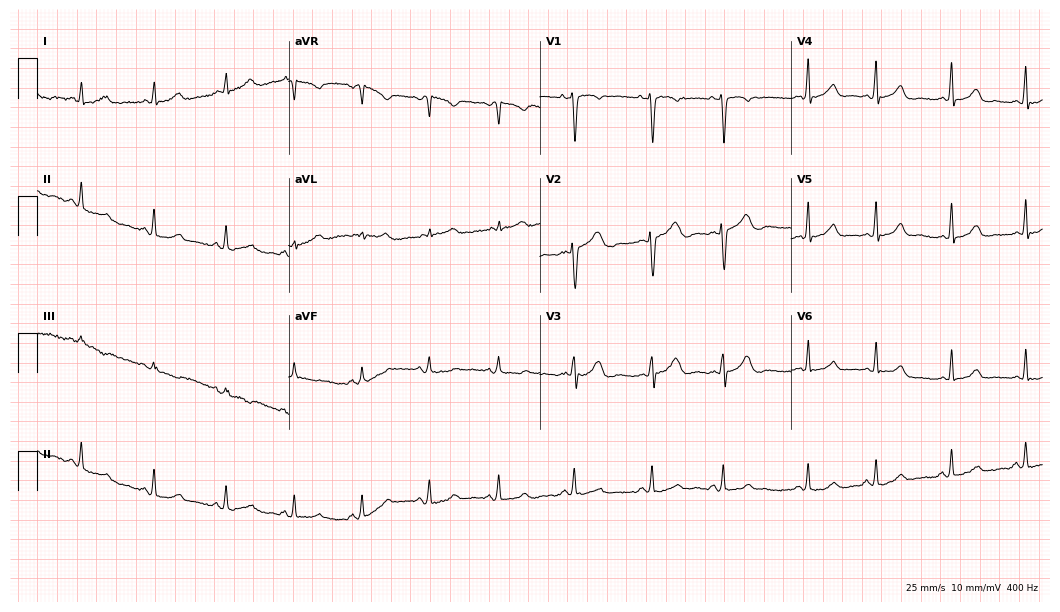
ECG (10.2-second recording at 400 Hz) — a female, 28 years old. Screened for six findings — first-degree AV block, right bundle branch block (RBBB), left bundle branch block (LBBB), sinus bradycardia, atrial fibrillation (AF), sinus tachycardia — none is recorded.